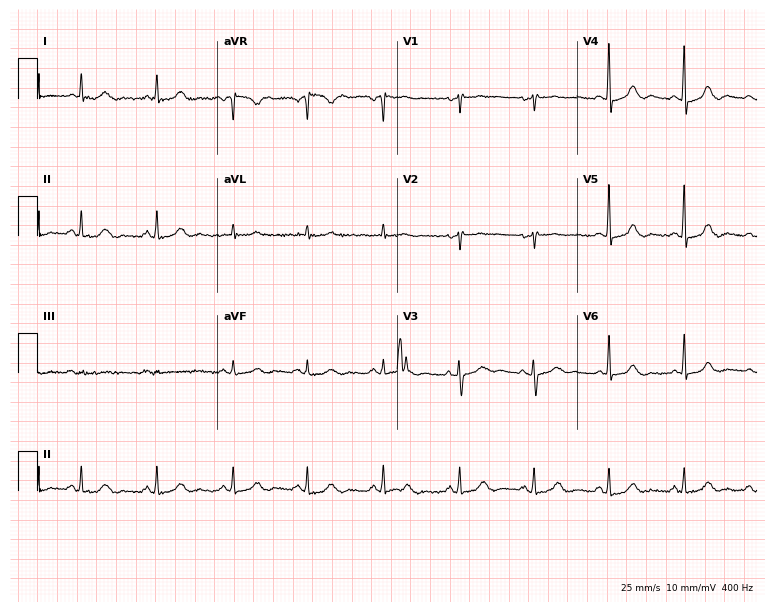
Electrocardiogram (7.3-second recording at 400 Hz), a 69-year-old female. Of the six screened findings (first-degree AV block, right bundle branch block, left bundle branch block, sinus bradycardia, atrial fibrillation, sinus tachycardia), none is recorded.